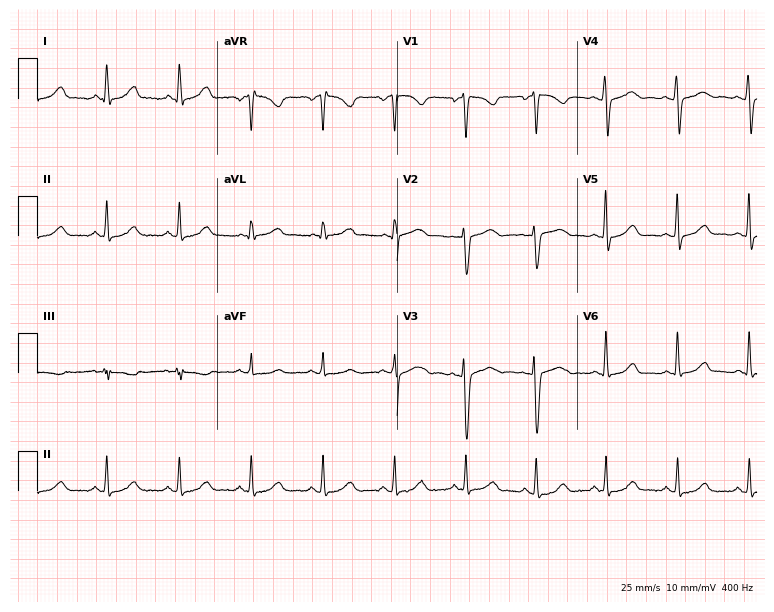
Resting 12-lead electrocardiogram. Patient: a 39-year-old woman. None of these six findings is recorded: first-degree AV block, right bundle branch block (RBBB), left bundle branch block (LBBB), sinus bradycardia, atrial fibrillation (AF), sinus tachycardia.